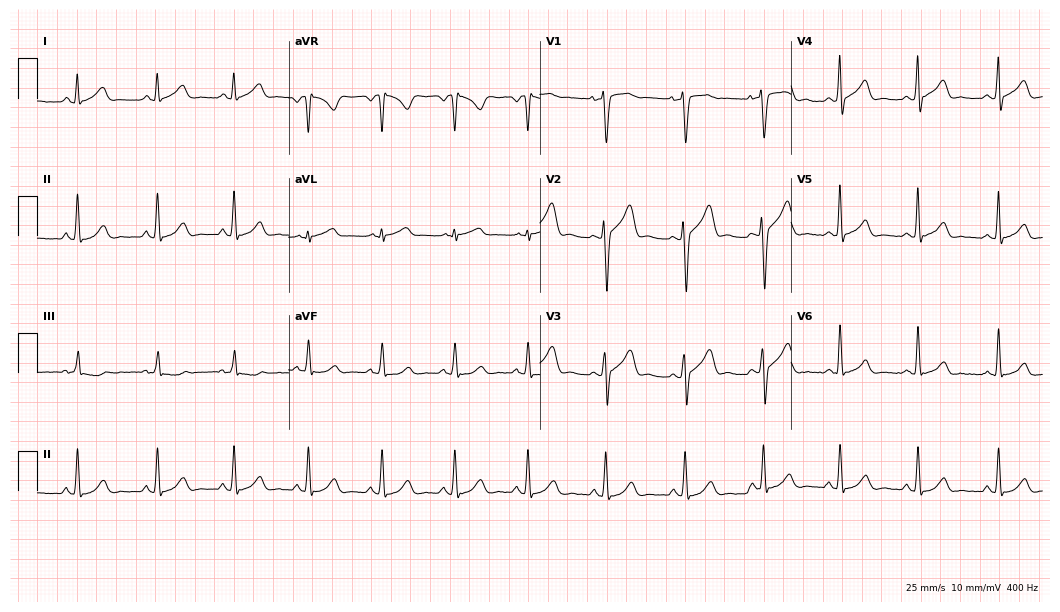
Electrocardiogram (10.2-second recording at 400 Hz), a male, 34 years old. Of the six screened findings (first-degree AV block, right bundle branch block (RBBB), left bundle branch block (LBBB), sinus bradycardia, atrial fibrillation (AF), sinus tachycardia), none is recorded. Only these six findings were labelled.